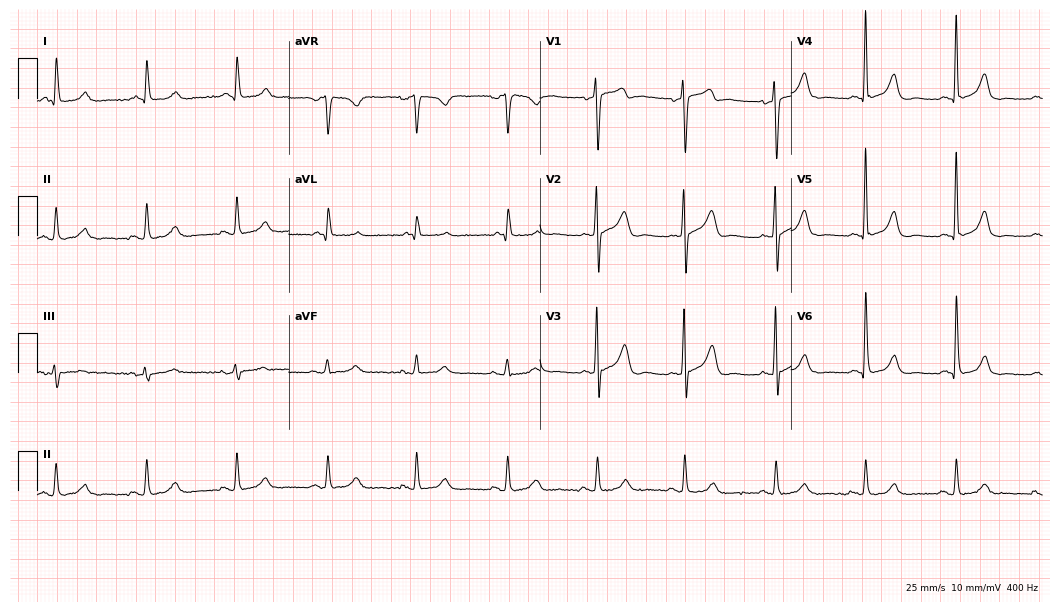
12-lead ECG from a 66-year-old man. Screened for six findings — first-degree AV block, right bundle branch block (RBBB), left bundle branch block (LBBB), sinus bradycardia, atrial fibrillation (AF), sinus tachycardia — none is recorded. Findings outside these six are not listed.